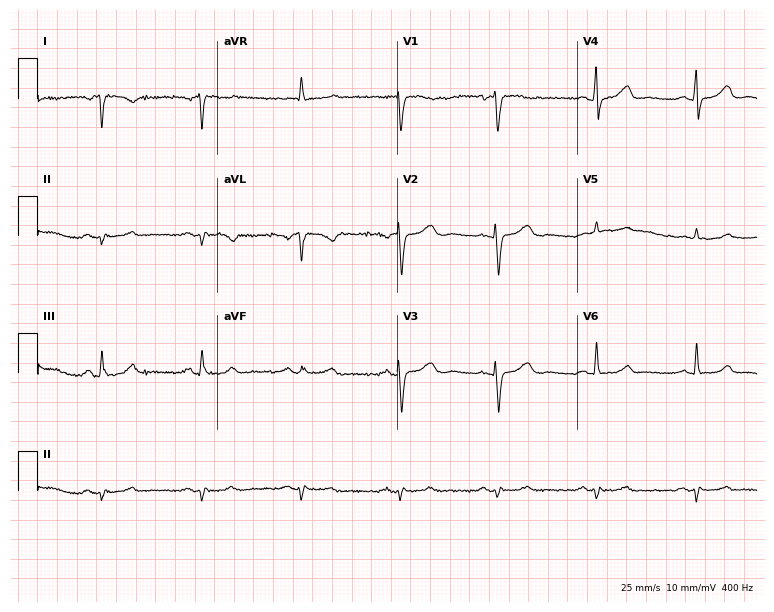
Resting 12-lead electrocardiogram. Patient: a female, 68 years old. None of these six findings is recorded: first-degree AV block, right bundle branch block, left bundle branch block, sinus bradycardia, atrial fibrillation, sinus tachycardia.